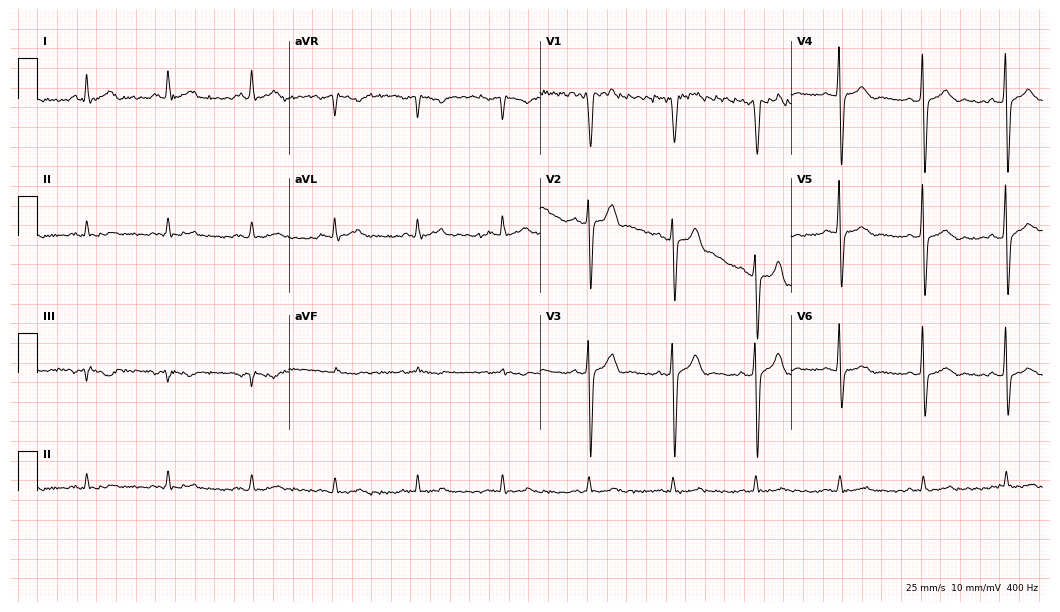
12-lead ECG (10.2-second recording at 400 Hz) from a man, 51 years old. Screened for six findings — first-degree AV block, right bundle branch block (RBBB), left bundle branch block (LBBB), sinus bradycardia, atrial fibrillation (AF), sinus tachycardia — none is recorded. Findings outside these six are not listed.